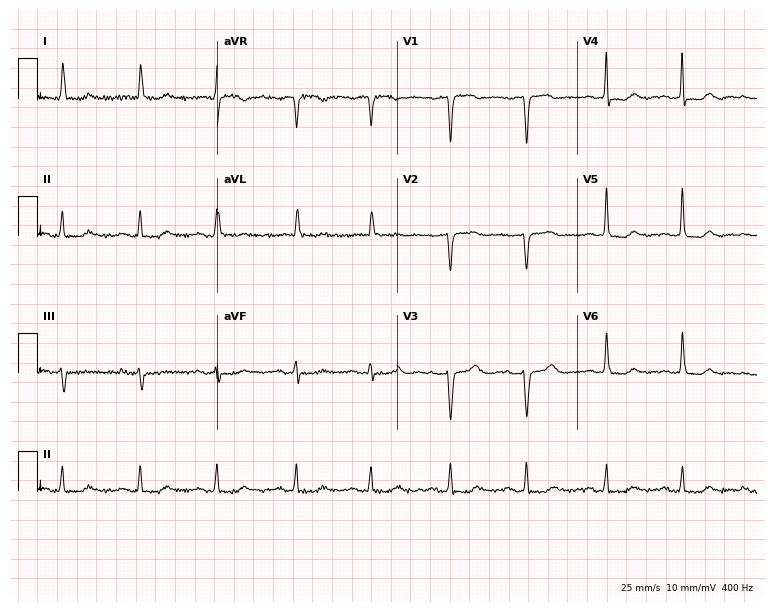
Standard 12-lead ECG recorded from a 76-year-old female. None of these six findings is recorded: first-degree AV block, right bundle branch block (RBBB), left bundle branch block (LBBB), sinus bradycardia, atrial fibrillation (AF), sinus tachycardia.